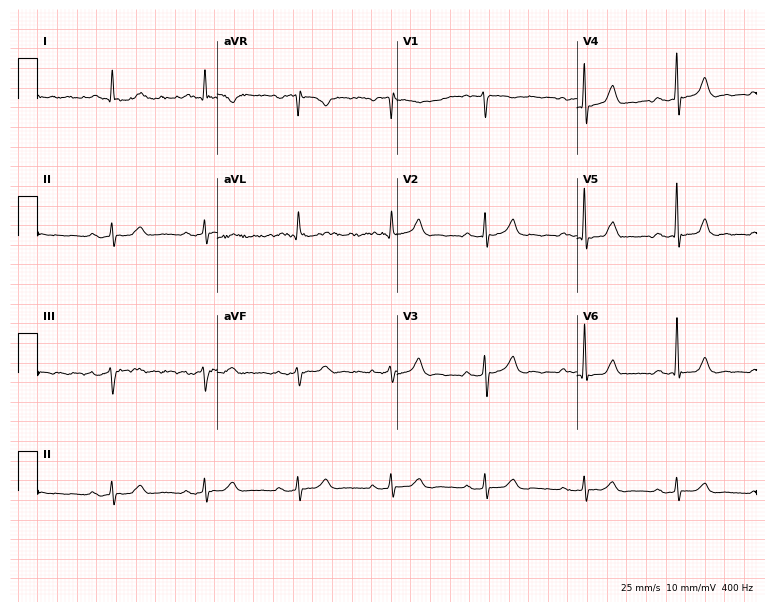
ECG — a male patient, 77 years old. Findings include first-degree AV block.